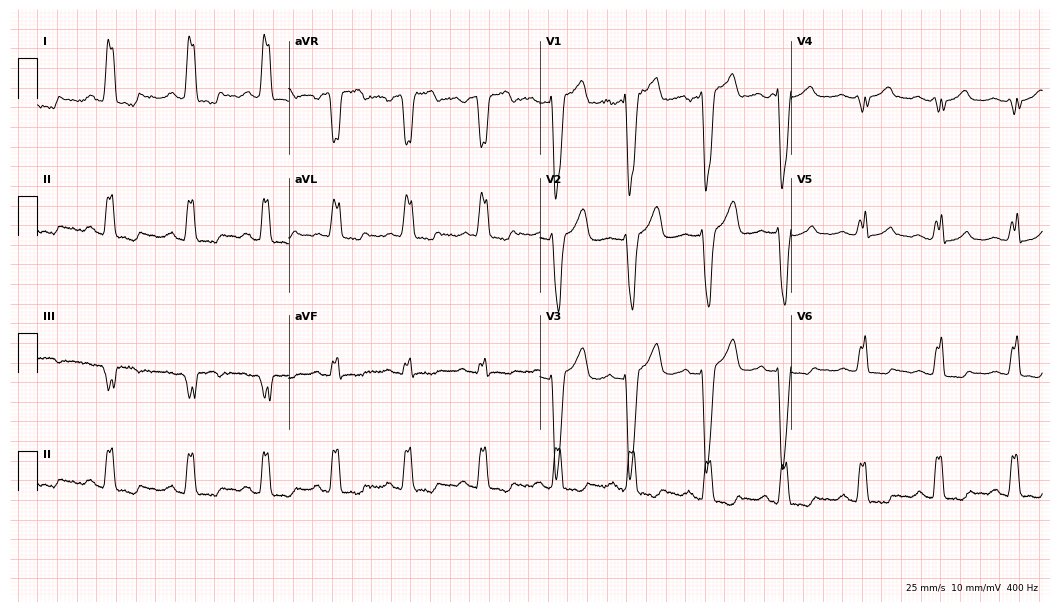
12-lead ECG from a 43-year-old woman. Shows left bundle branch block.